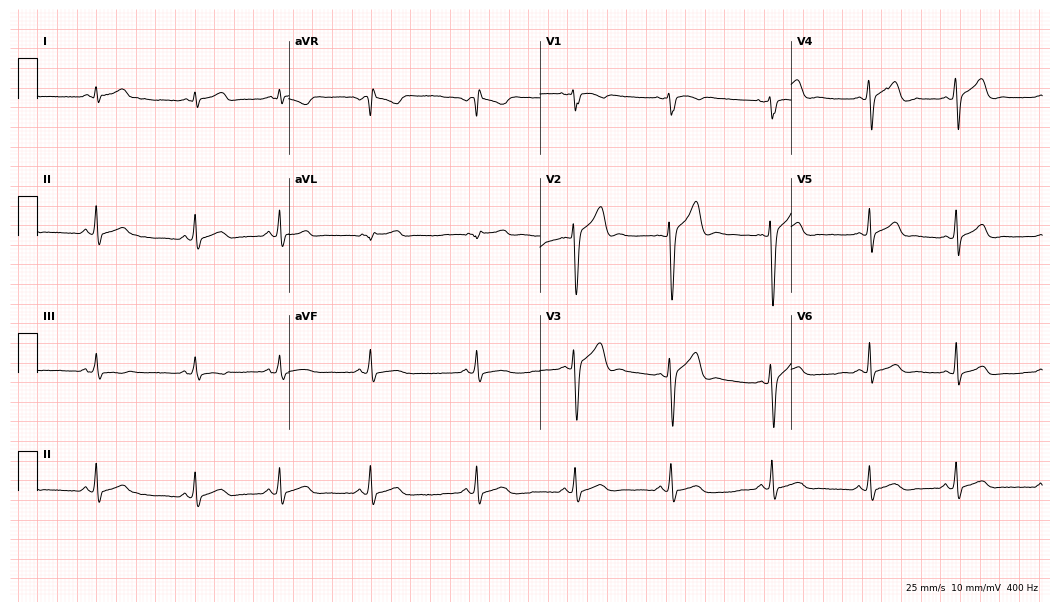
Electrocardiogram (10.2-second recording at 400 Hz), a male patient, 31 years old. Of the six screened findings (first-degree AV block, right bundle branch block (RBBB), left bundle branch block (LBBB), sinus bradycardia, atrial fibrillation (AF), sinus tachycardia), none is recorded.